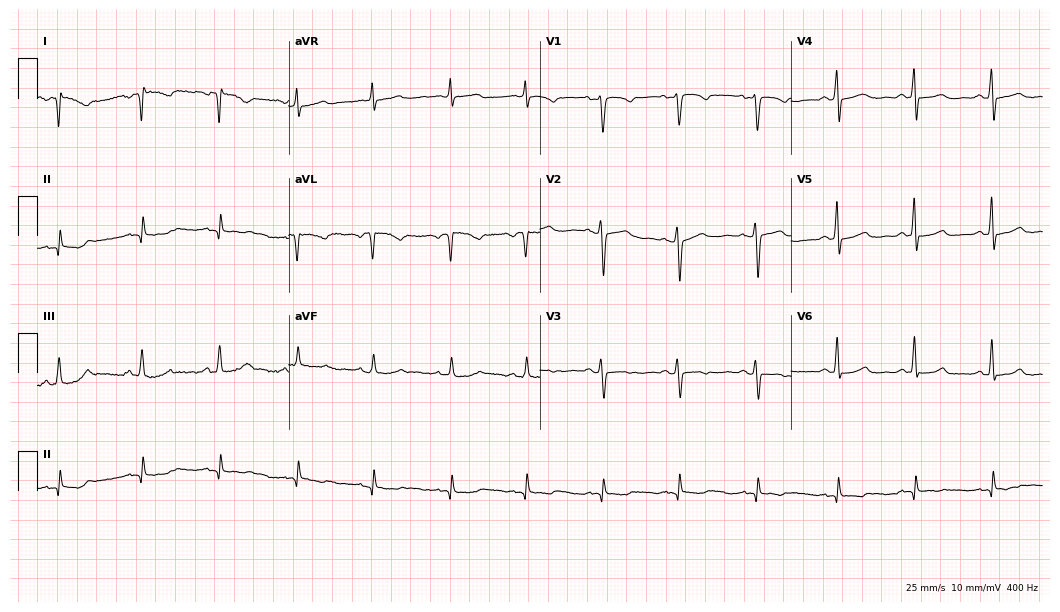
12-lead ECG (10.2-second recording at 400 Hz) from a 46-year-old woman. Screened for six findings — first-degree AV block, right bundle branch block (RBBB), left bundle branch block (LBBB), sinus bradycardia, atrial fibrillation (AF), sinus tachycardia — none is recorded. Other findings, if any, are not listed.